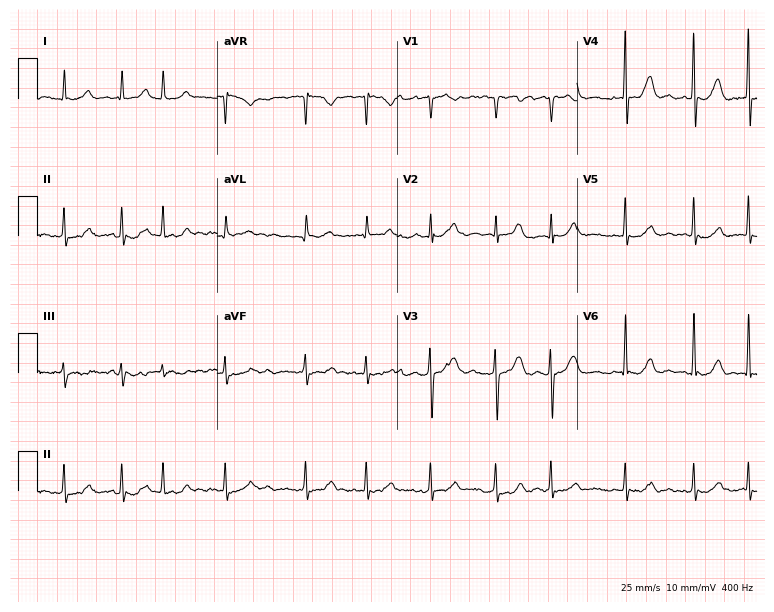
12-lead ECG from an 85-year-old man (7.3-second recording at 400 Hz). Shows atrial fibrillation.